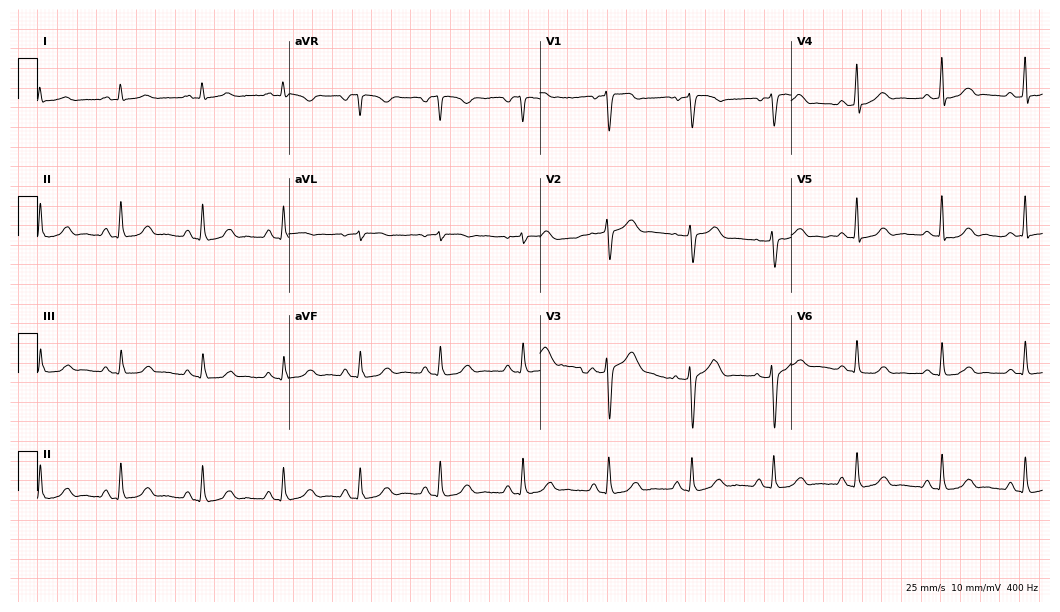
Resting 12-lead electrocardiogram. Patient: a 38-year-old woman. Read as a normal ECG.